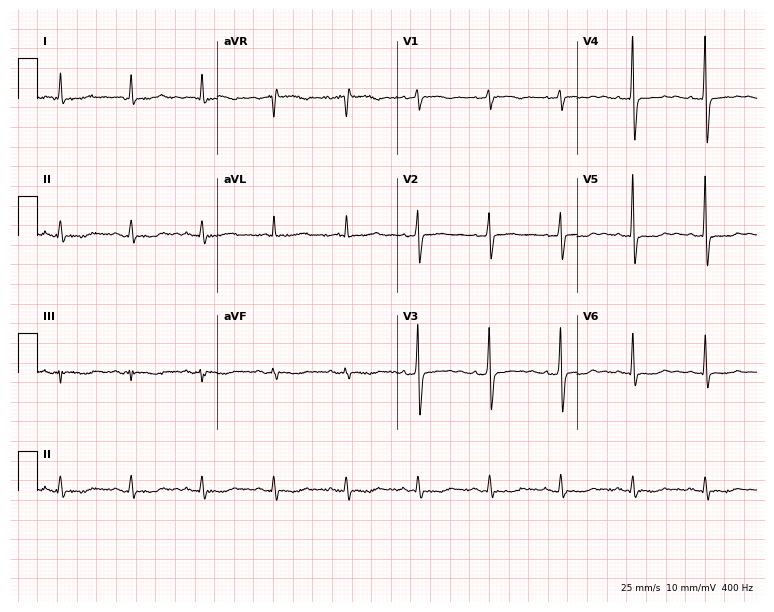
ECG — a female patient, 79 years old. Screened for six findings — first-degree AV block, right bundle branch block, left bundle branch block, sinus bradycardia, atrial fibrillation, sinus tachycardia — none is recorded. Only these six findings were labelled.